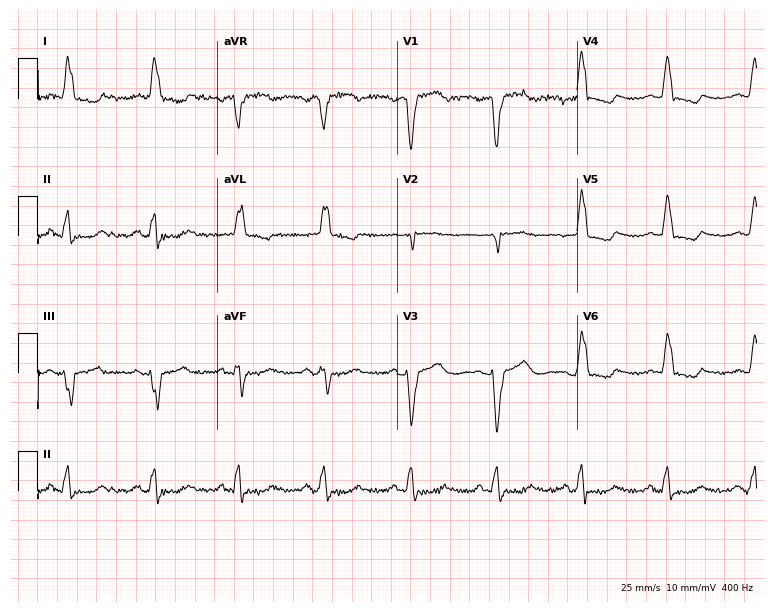
Resting 12-lead electrocardiogram (7.3-second recording at 400 Hz). Patient: a female, 80 years old. The tracing shows left bundle branch block.